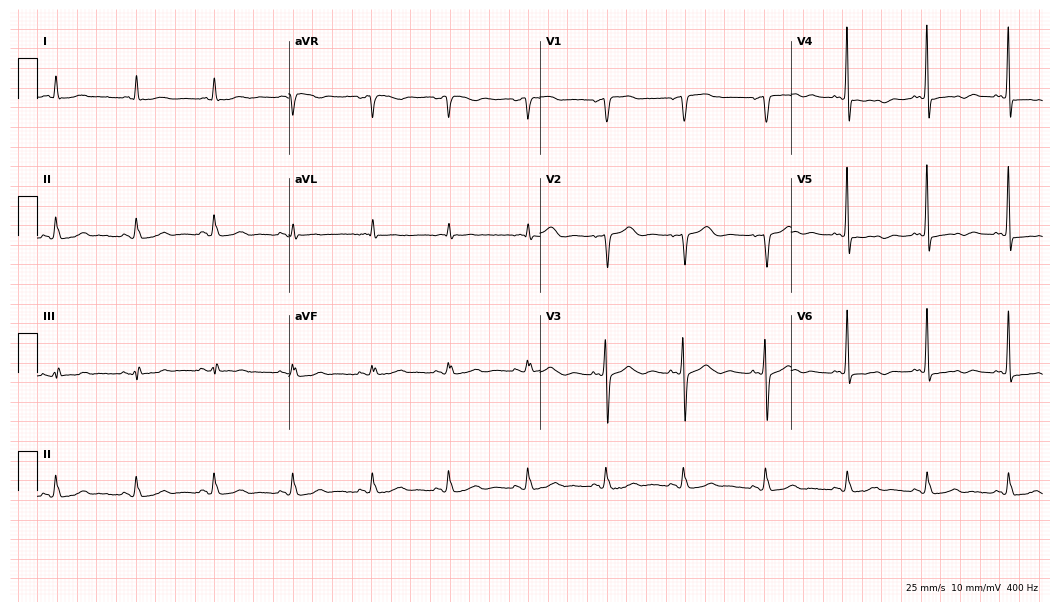
Electrocardiogram (10.2-second recording at 400 Hz), an 80-year-old woman. Of the six screened findings (first-degree AV block, right bundle branch block, left bundle branch block, sinus bradycardia, atrial fibrillation, sinus tachycardia), none is recorded. Only these six findings were labelled.